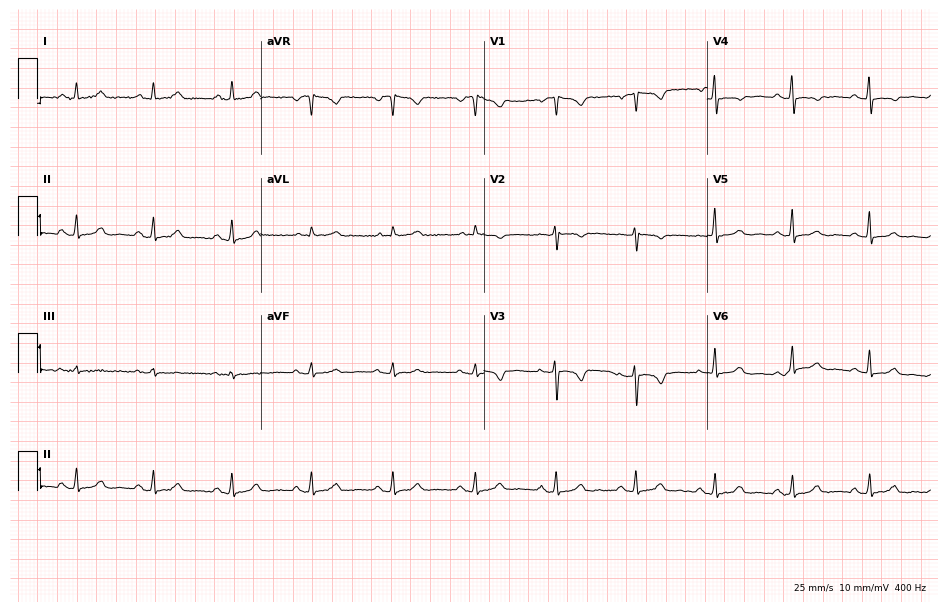
Electrocardiogram, a 52-year-old female patient. Overall reading on record: normal ECG.